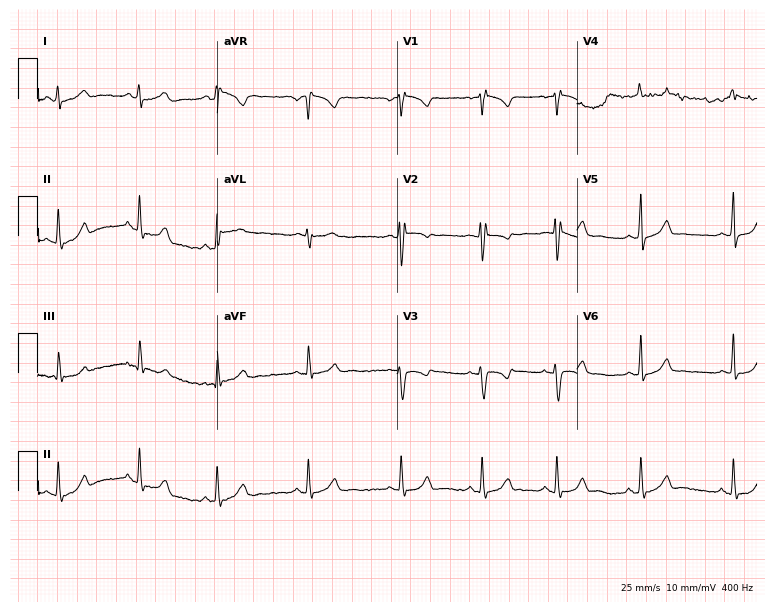
Resting 12-lead electrocardiogram (7.3-second recording at 400 Hz). Patient: a female, 20 years old. None of these six findings is recorded: first-degree AV block, right bundle branch block, left bundle branch block, sinus bradycardia, atrial fibrillation, sinus tachycardia. Findings outside these six are not listed.